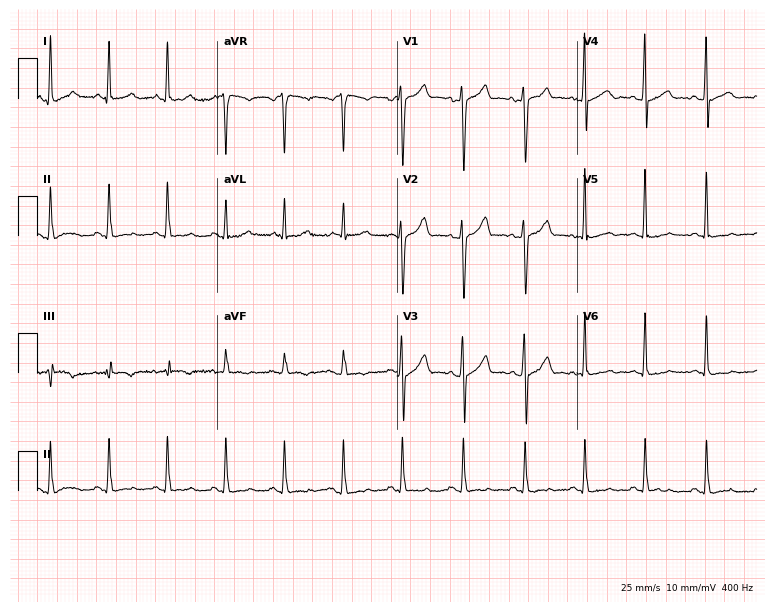
12-lead ECG from a male, 39 years old. No first-degree AV block, right bundle branch block (RBBB), left bundle branch block (LBBB), sinus bradycardia, atrial fibrillation (AF) or sinus tachycardia recorded for this tracing.